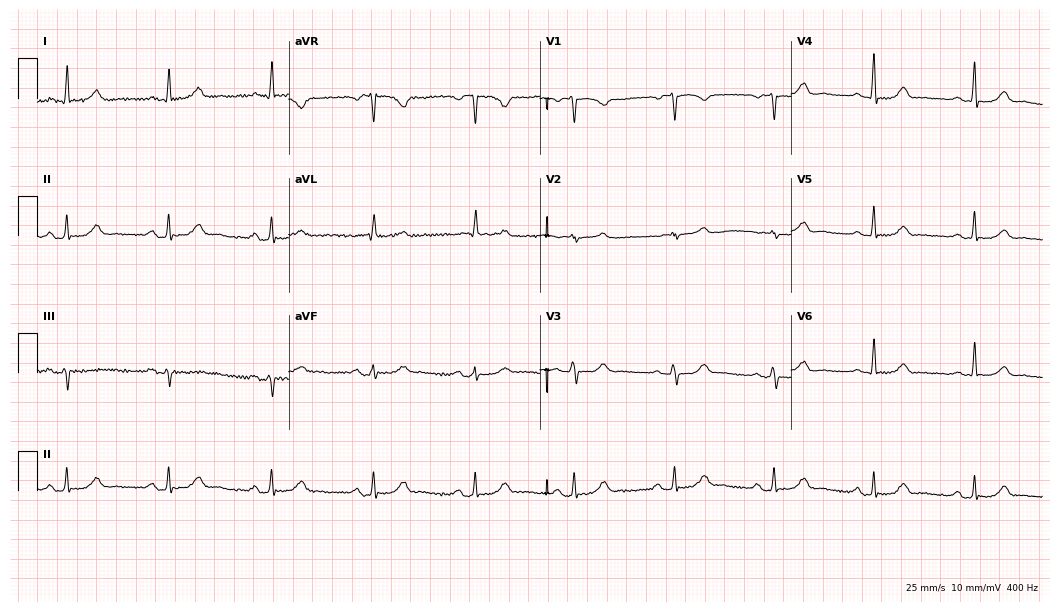
12-lead ECG from a female patient, 72 years old (10.2-second recording at 400 Hz). Recorded interpretation: within normal limits.